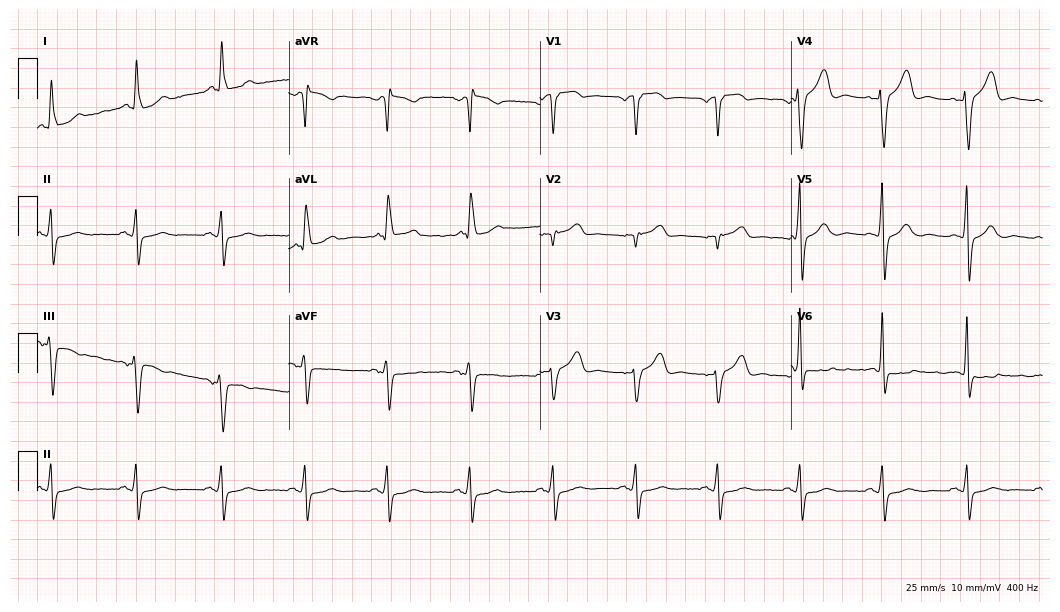
12-lead ECG from a man, 68 years old (10.2-second recording at 400 Hz). No first-degree AV block, right bundle branch block, left bundle branch block, sinus bradycardia, atrial fibrillation or sinus tachycardia recorded for this tracing.